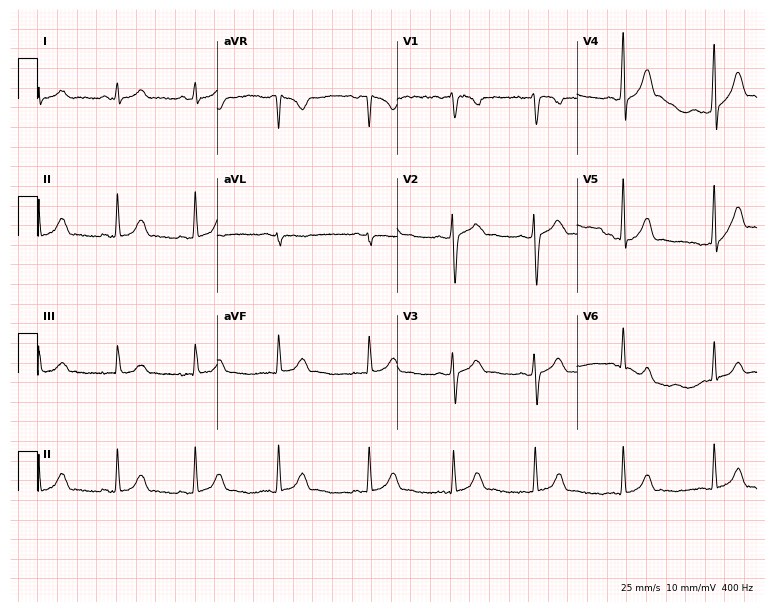
Standard 12-lead ECG recorded from a 19-year-old male patient (7.3-second recording at 400 Hz). Read as a normal ECG.